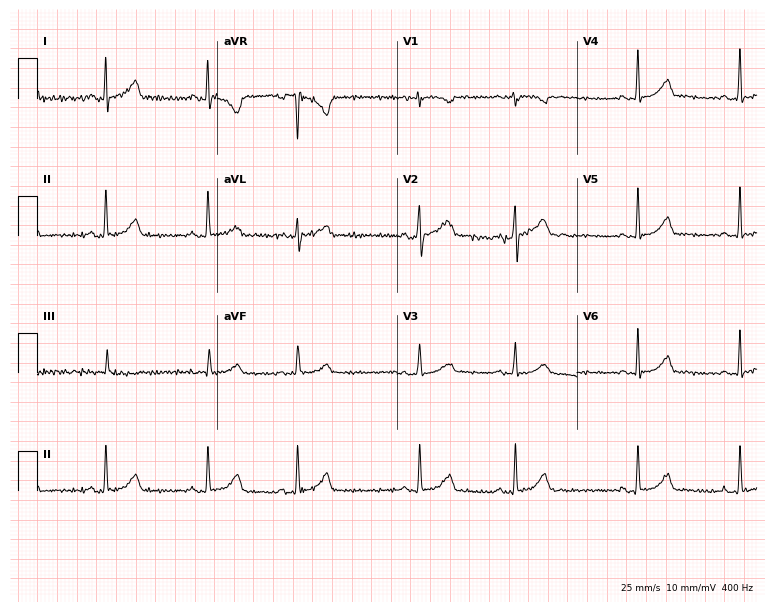
Resting 12-lead electrocardiogram. Patient: a female, 27 years old. None of these six findings is recorded: first-degree AV block, right bundle branch block (RBBB), left bundle branch block (LBBB), sinus bradycardia, atrial fibrillation (AF), sinus tachycardia.